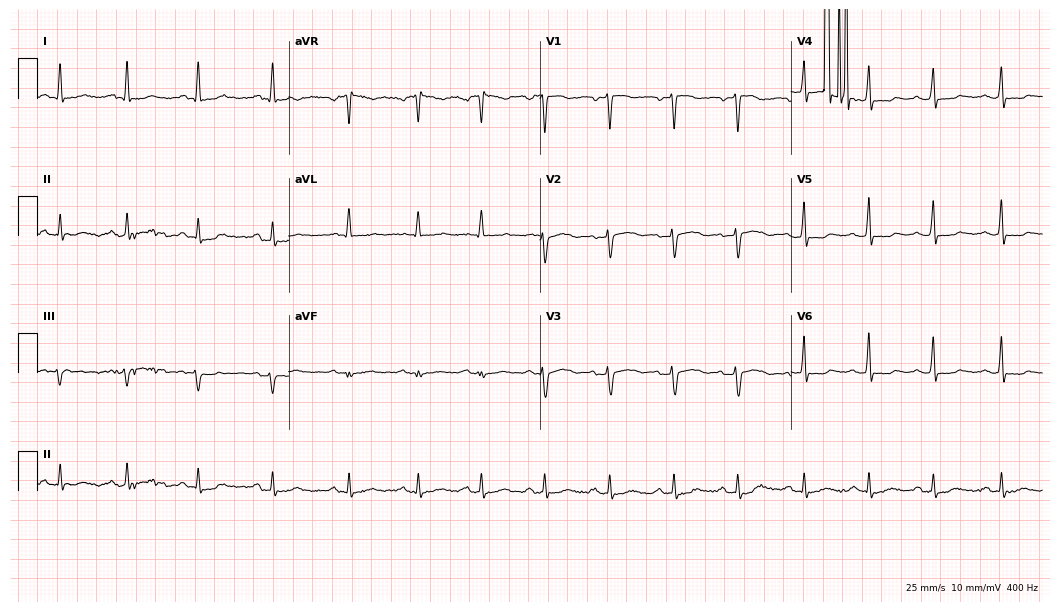
Resting 12-lead electrocardiogram. Patient: a female, 43 years old. None of these six findings is recorded: first-degree AV block, right bundle branch block, left bundle branch block, sinus bradycardia, atrial fibrillation, sinus tachycardia. Other findings, if any, are not listed.